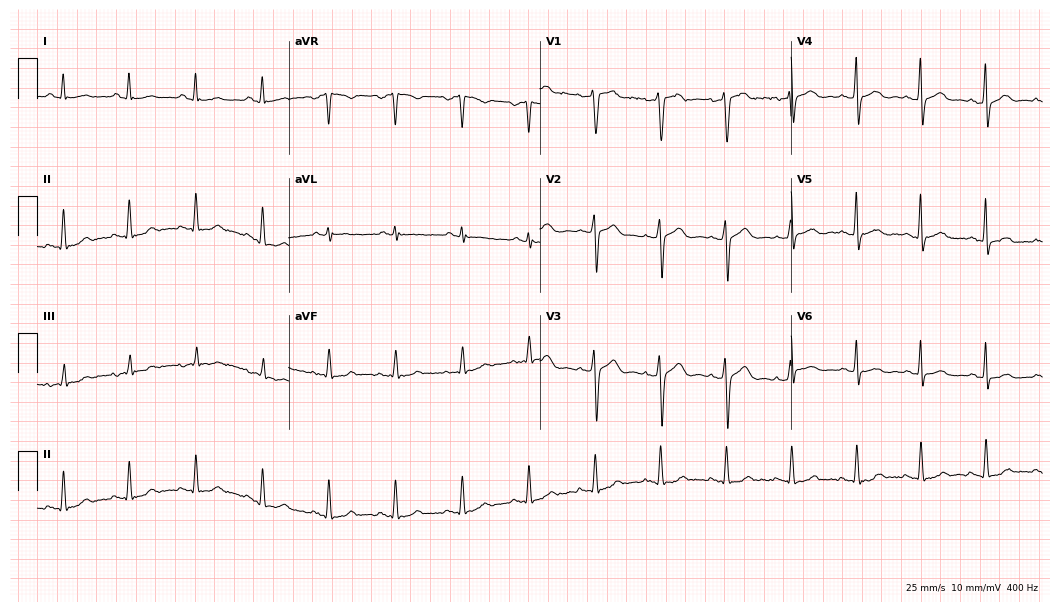
Standard 12-lead ECG recorded from a 51-year-old woman. Read as a normal ECG.